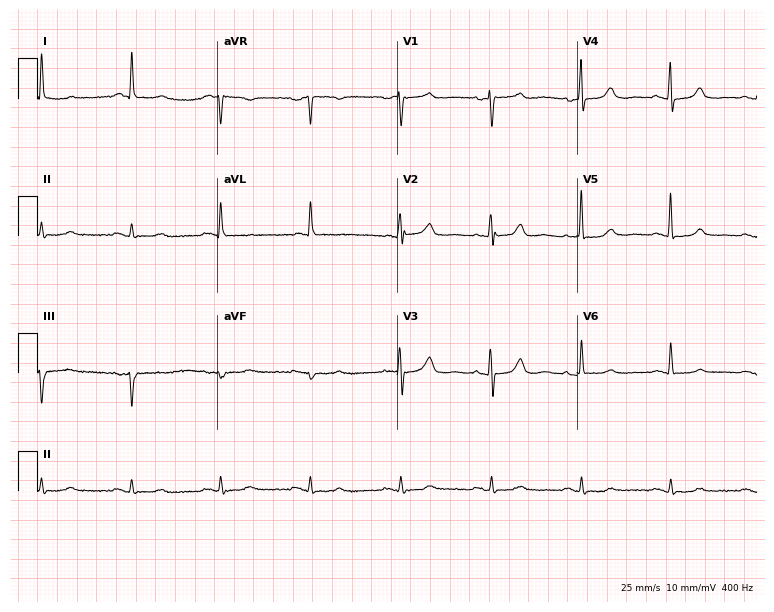
12-lead ECG (7.3-second recording at 400 Hz) from a female patient, 63 years old. Screened for six findings — first-degree AV block, right bundle branch block, left bundle branch block, sinus bradycardia, atrial fibrillation, sinus tachycardia — none is recorded.